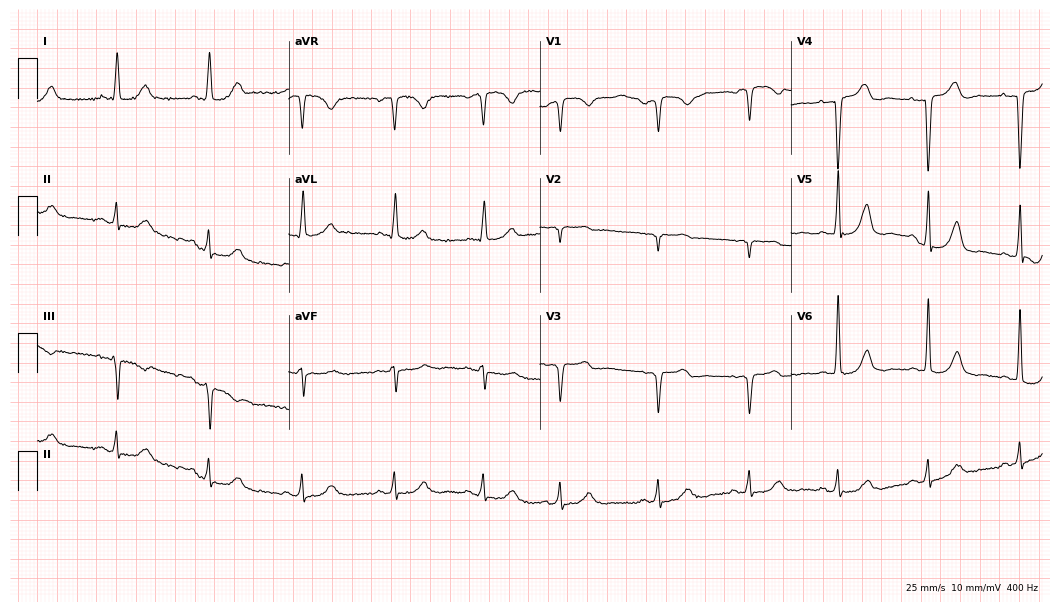
12-lead ECG (10.2-second recording at 400 Hz) from a female patient, 80 years old. Labelled as a normal ECG.